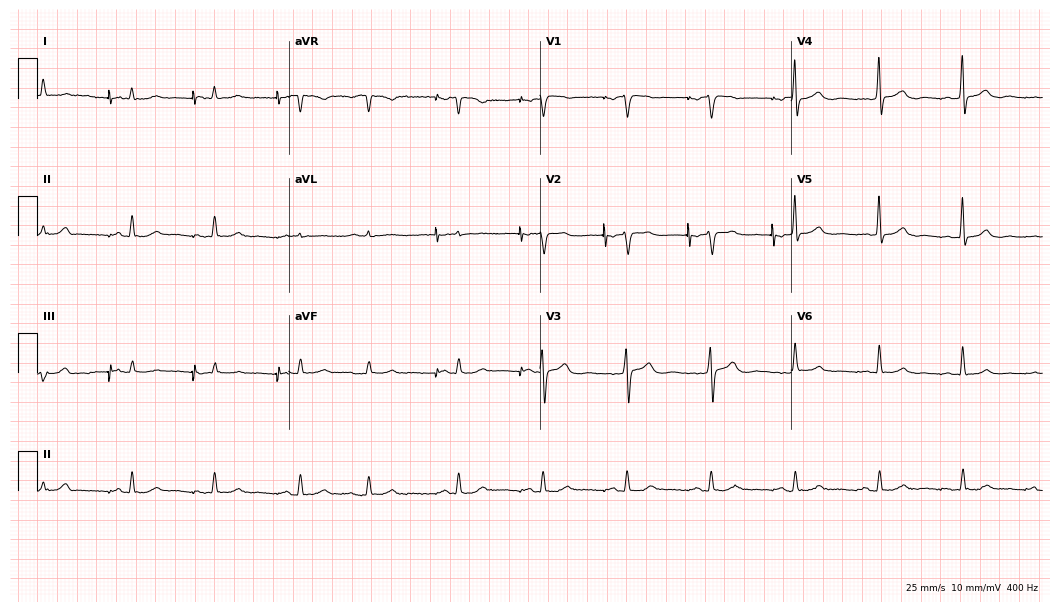
12-lead ECG from a 48-year-old male. Labelled as a normal ECG.